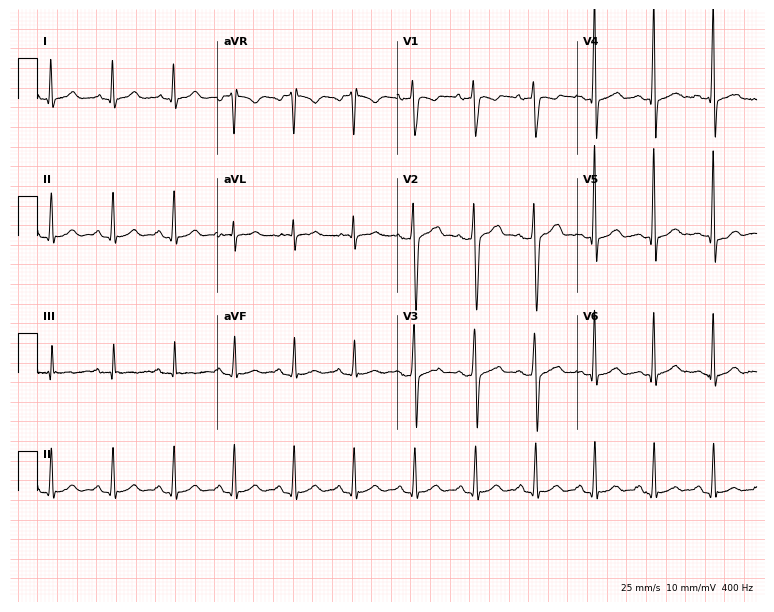
12-lead ECG from a 39-year-old man. Labelled as a normal ECG.